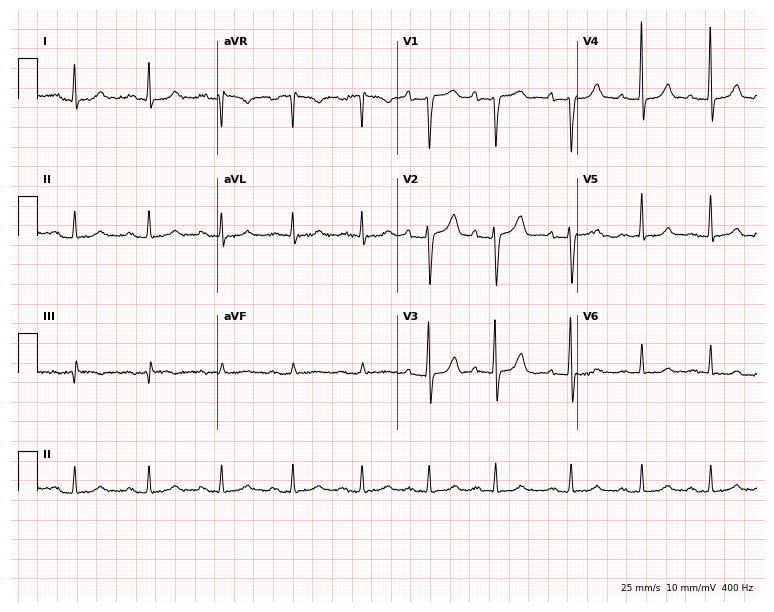
ECG (7.3-second recording at 400 Hz) — an 83-year-old woman. Labelled as a normal ECG.